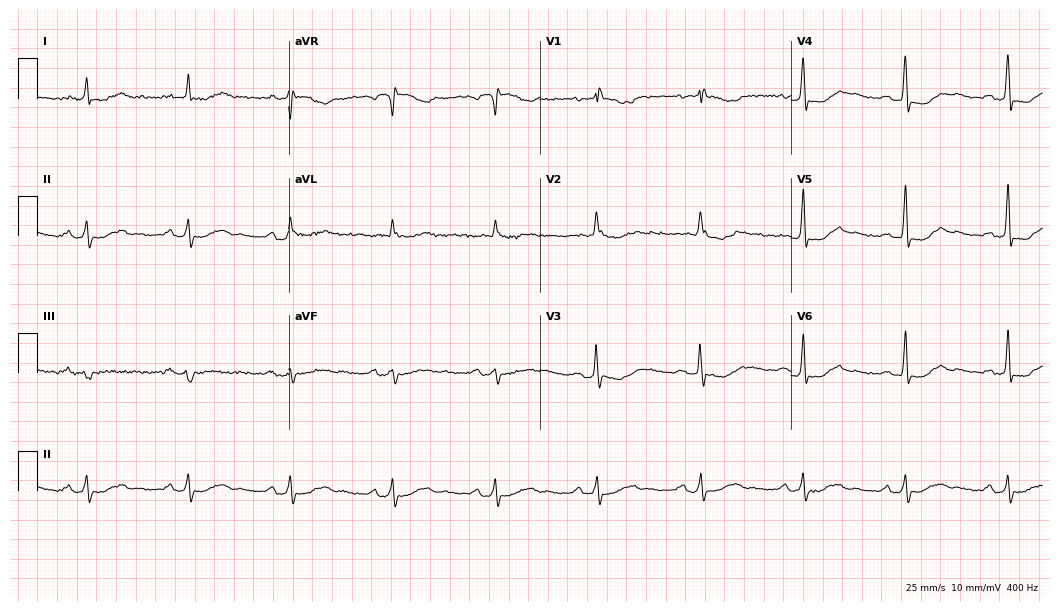
12-lead ECG from a 76-year-old female patient (10.2-second recording at 400 Hz). No first-degree AV block, right bundle branch block, left bundle branch block, sinus bradycardia, atrial fibrillation or sinus tachycardia recorded for this tracing.